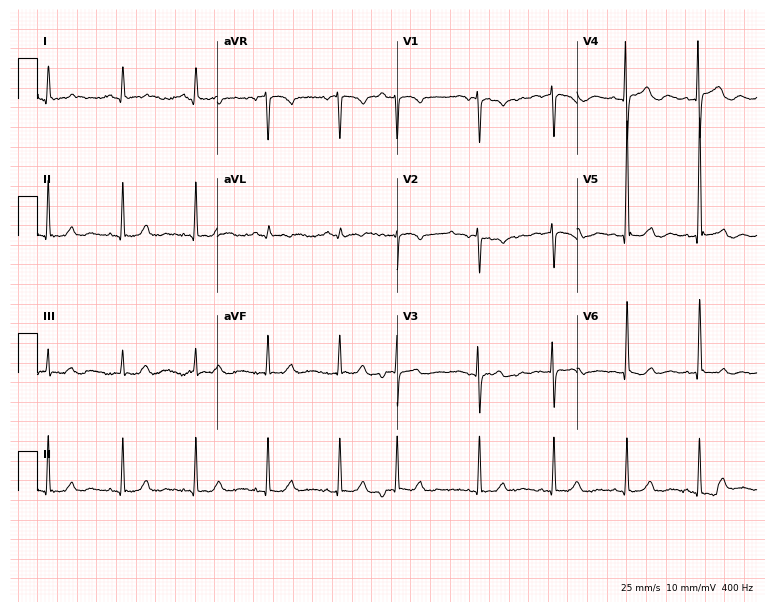
12-lead ECG from a woman, 82 years old. Labelled as a normal ECG.